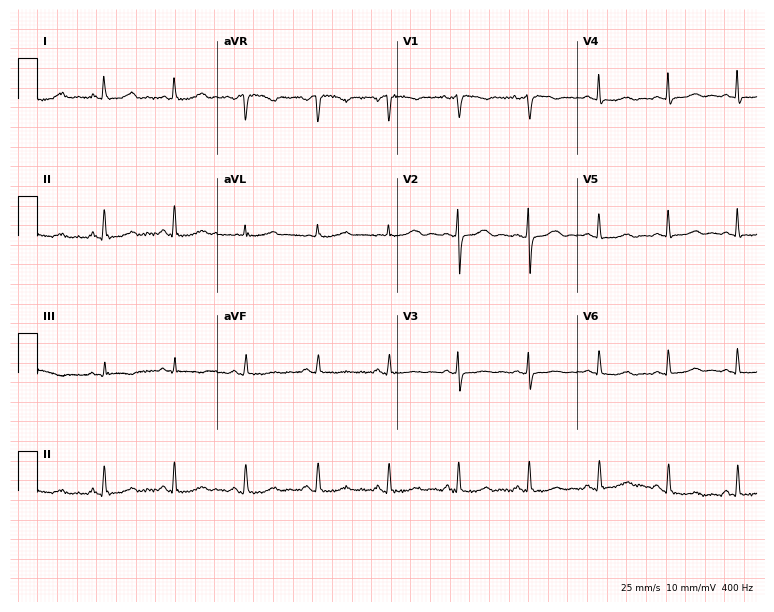
12-lead ECG from a woman, 51 years old. Screened for six findings — first-degree AV block, right bundle branch block, left bundle branch block, sinus bradycardia, atrial fibrillation, sinus tachycardia — none is recorded.